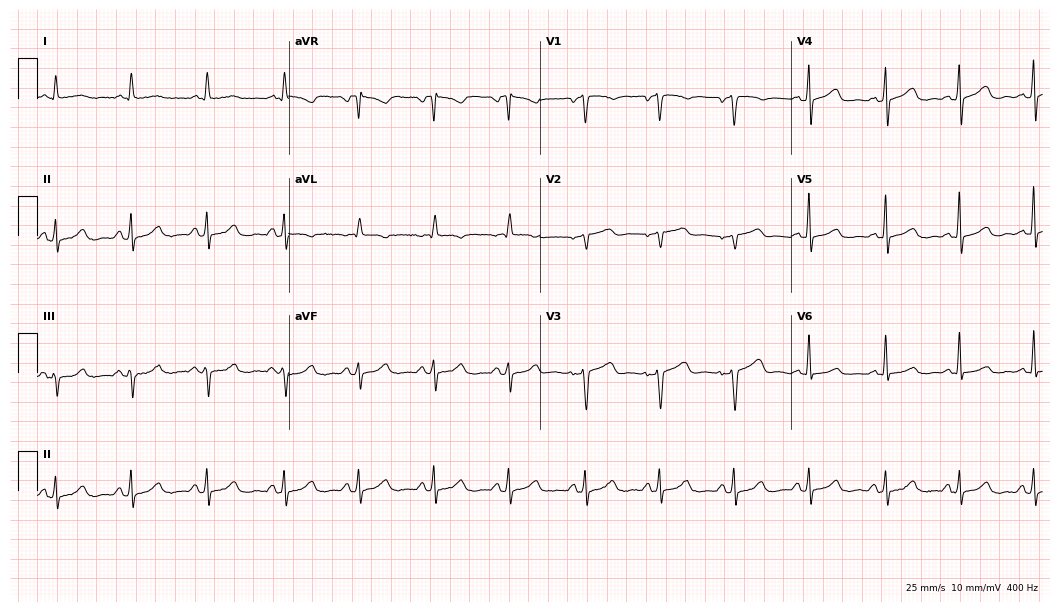
12-lead ECG (10.2-second recording at 400 Hz) from a woman, 48 years old. Screened for six findings — first-degree AV block, right bundle branch block, left bundle branch block, sinus bradycardia, atrial fibrillation, sinus tachycardia — none is recorded.